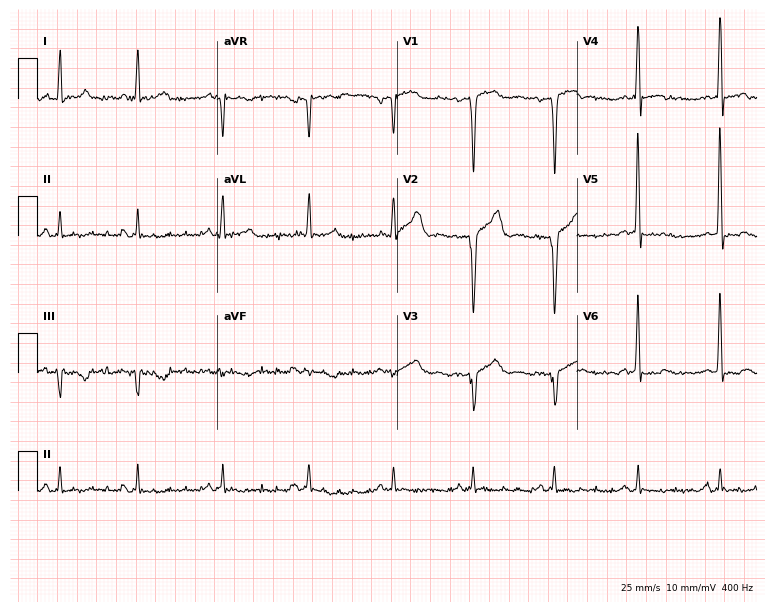
ECG (7.3-second recording at 400 Hz) — a man, 51 years old. Screened for six findings — first-degree AV block, right bundle branch block, left bundle branch block, sinus bradycardia, atrial fibrillation, sinus tachycardia — none is recorded.